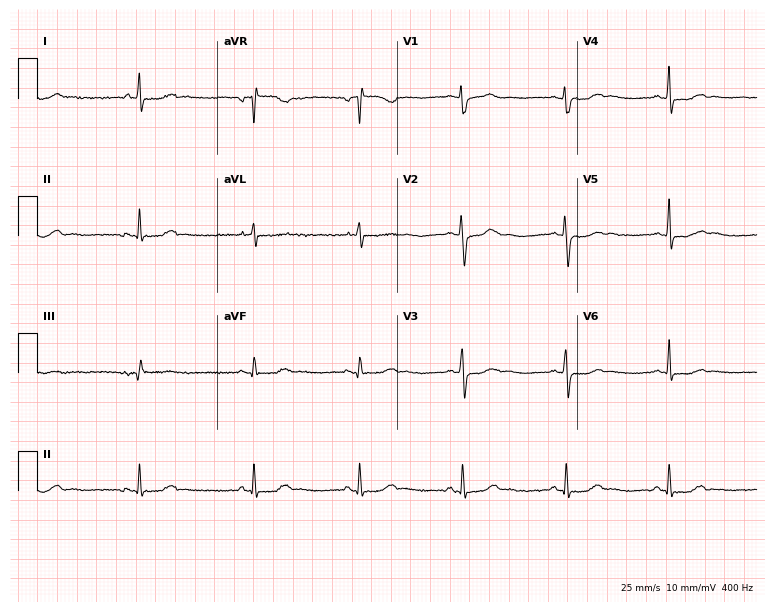
Standard 12-lead ECG recorded from a female patient, 62 years old. Read as a normal ECG.